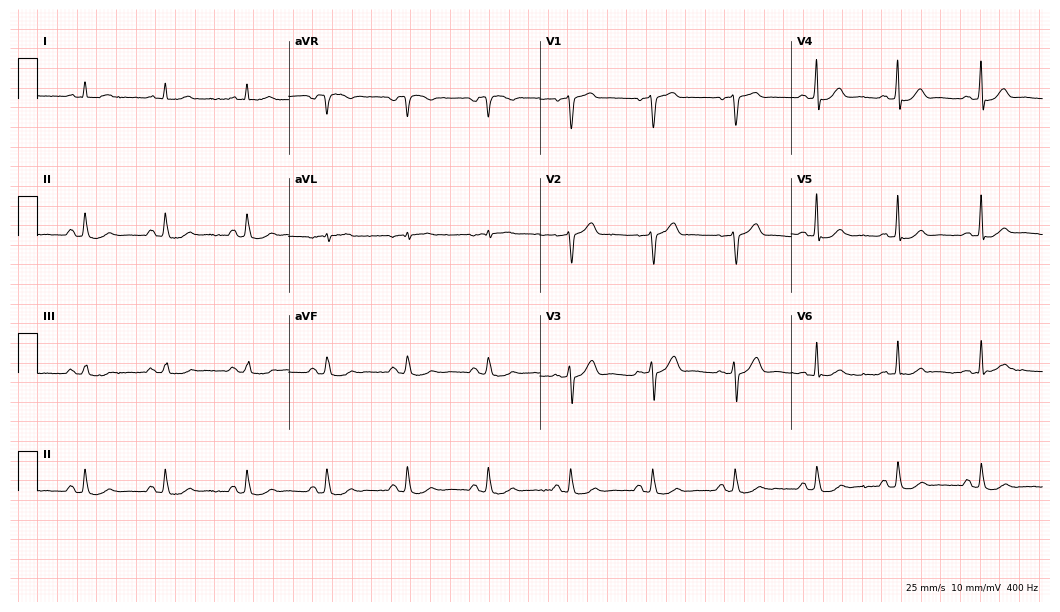
Resting 12-lead electrocardiogram (10.2-second recording at 400 Hz). Patient: a male, 81 years old. None of these six findings is recorded: first-degree AV block, right bundle branch block, left bundle branch block, sinus bradycardia, atrial fibrillation, sinus tachycardia. Only these six findings were labelled.